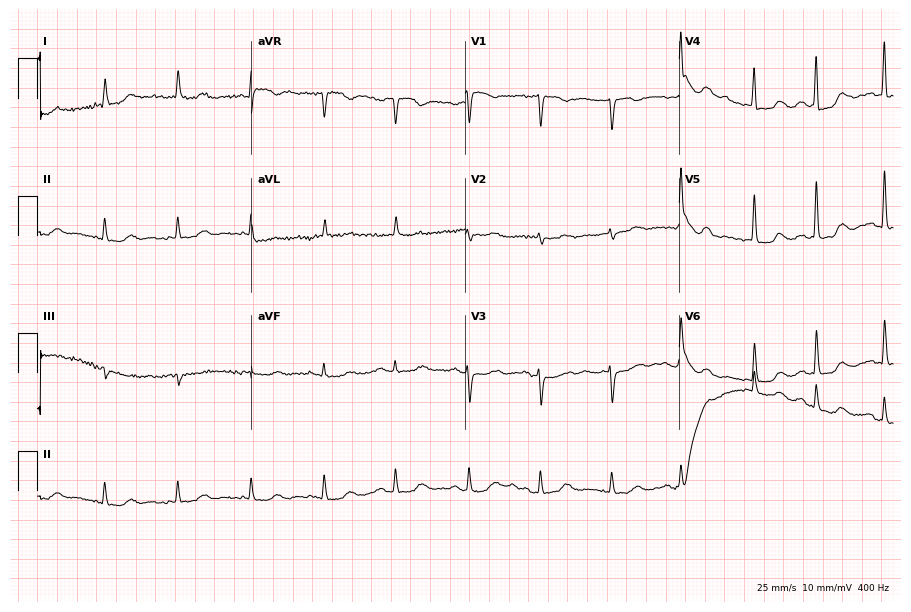
ECG — a 78-year-old female. Screened for six findings — first-degree AV block, right bundle branch block (RBBB), left bundle branch block (LBBB), sinus bradycardia, atrial fibrillation (AF), sinus tachycardia — none is recorded. Findings outside these six are not listed.